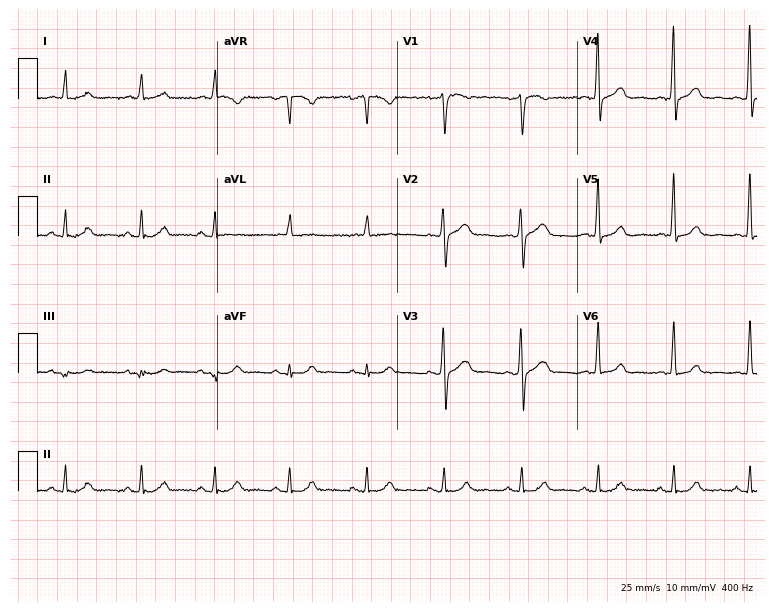
12-lead ECG from a 62-year-old male patient. Labelled as a normal ECG.